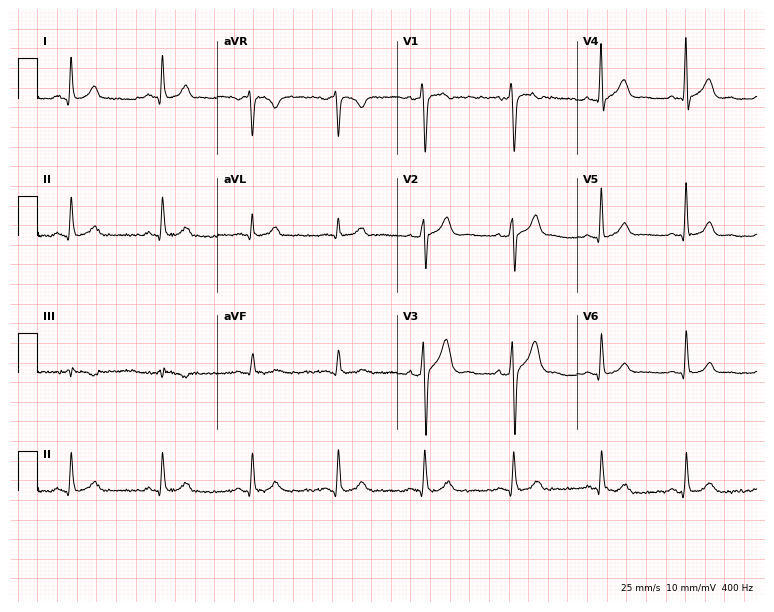
Electrocardiogram (7.3-second recording at 400 Hz), a 36-year-old male patient. Overall reading on record: normal ECG.